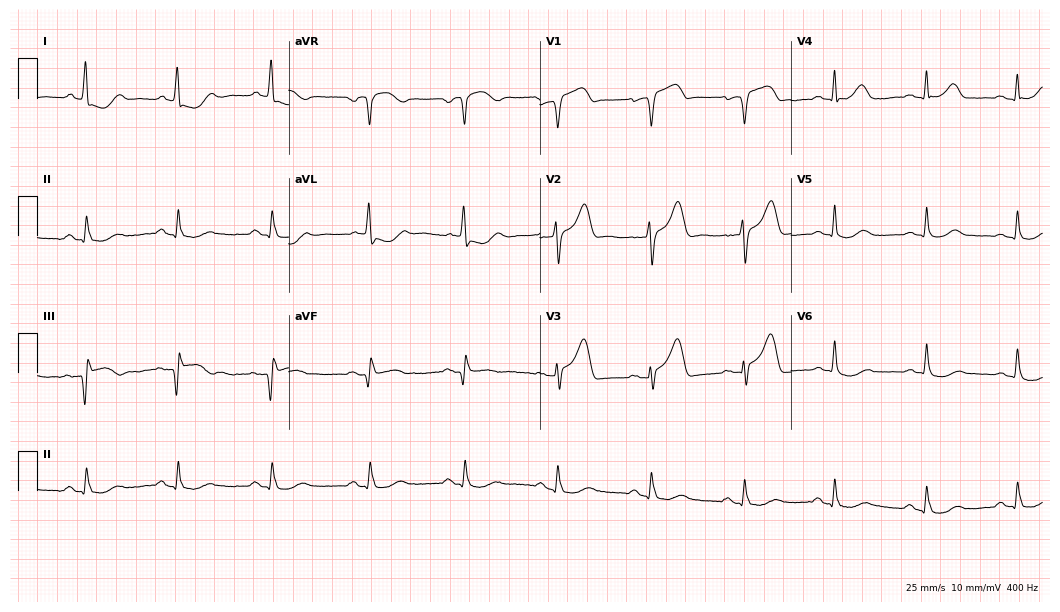
Electrocardiogram (10.2-second recording at 400 Hz), a female patient, 44 years old. Of the six screened findings (first-degree AV block, right bundle branch block, left bundle branch block, sinus bradycardia, atrial fibrillation, sinus tachycardia), none is recorded.